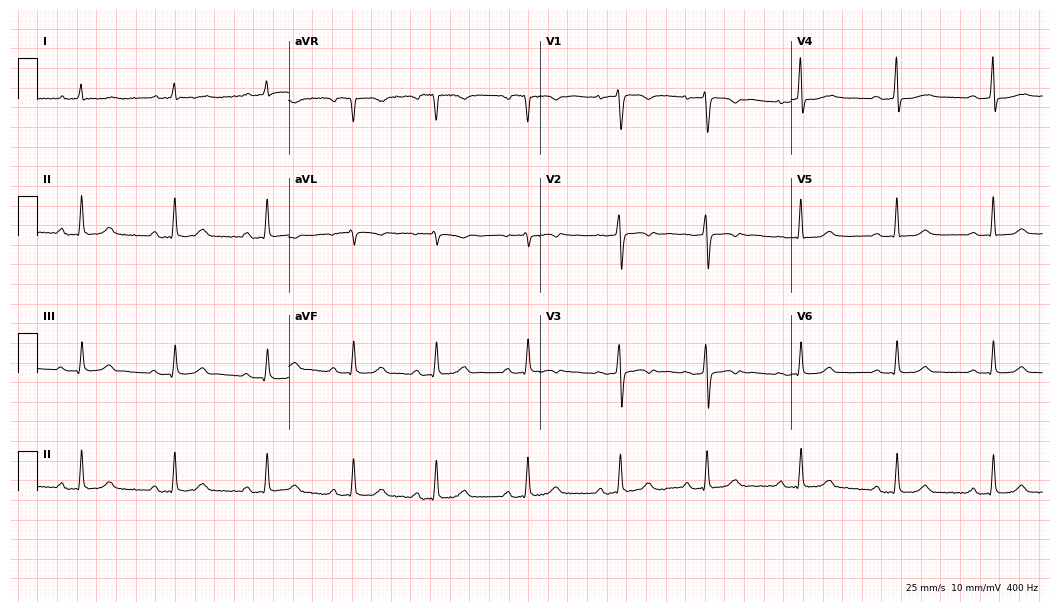
Resting 12-lead electrocardiogram (10.2-second recording at 400 Hz). Patient: a 40-year-old female. The tracing shows first-degree AV block.